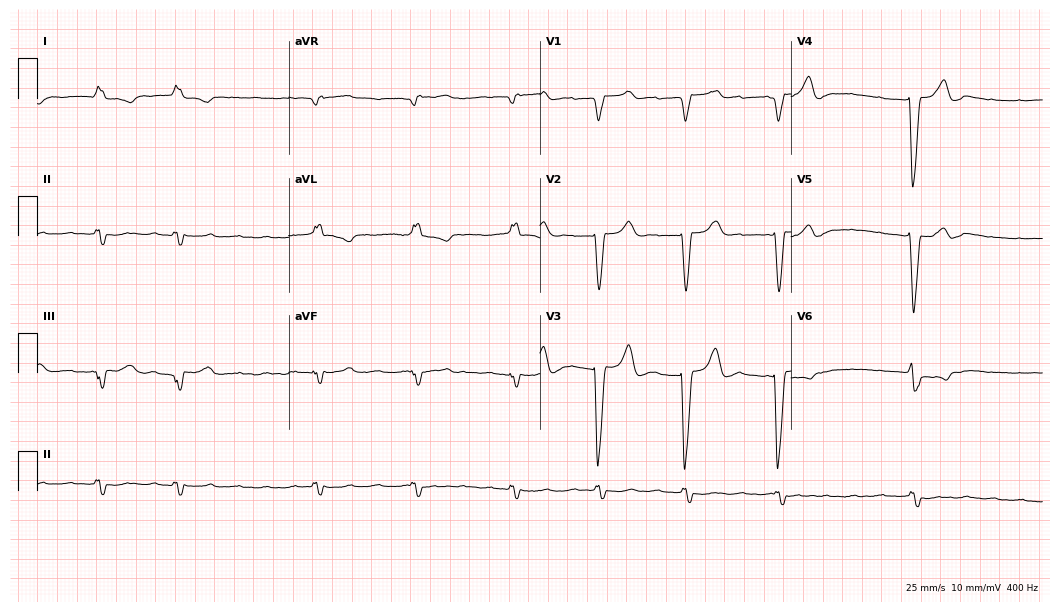
12-lead ECG from a male patient, 79 years old. Shows left bundle branch block, atrial fibrillation.